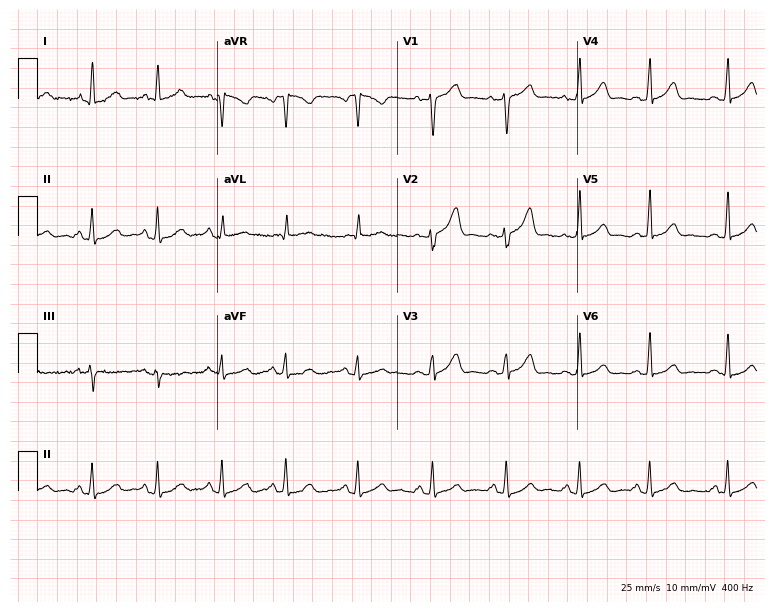
12-lead ECG from a 43-year-old female patient. Labelled as a normal ECG.